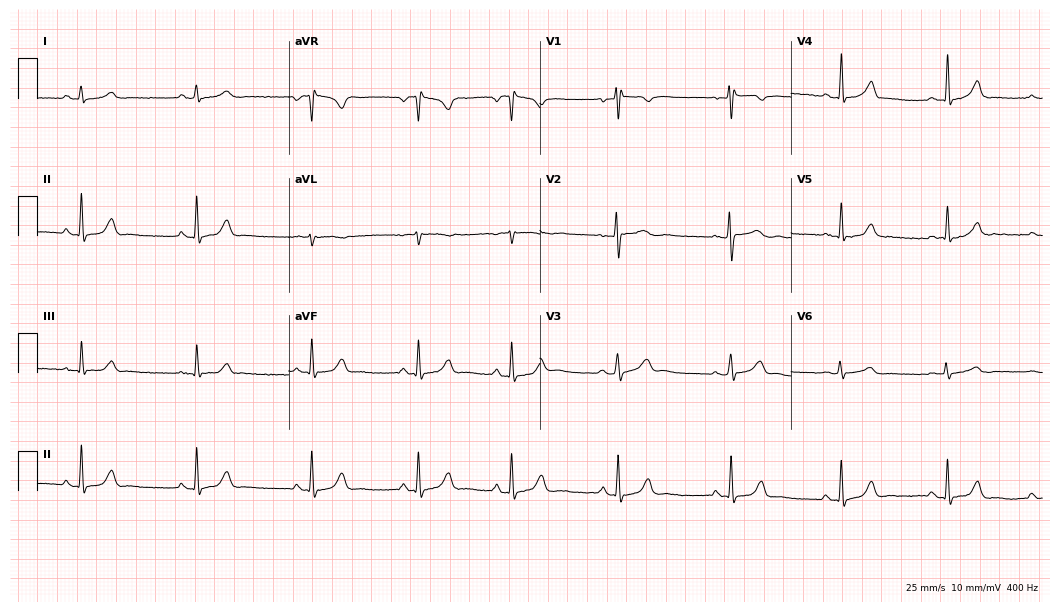
Electrocardiogram, a woman, 23 years old. Overall reading on record: normal ECG.